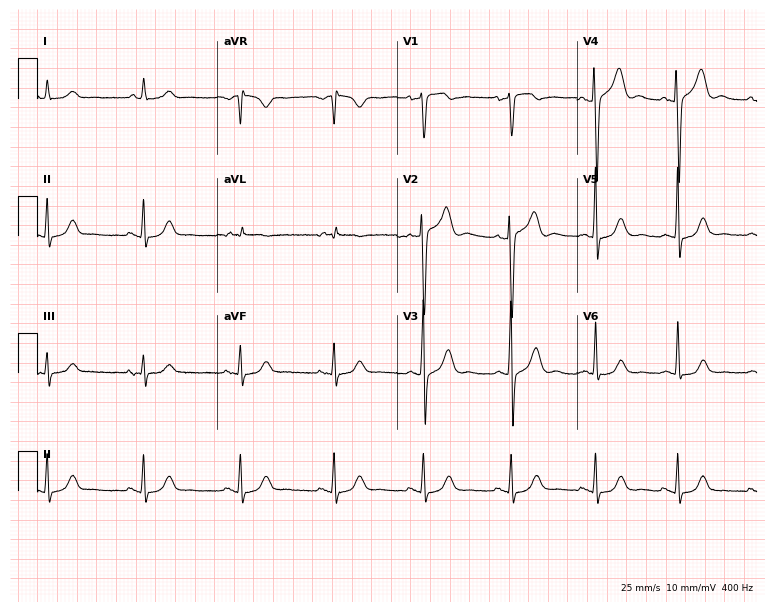
Resting 12-lead electrocardiogram (7.3-second recording at 400 Hz). Patient: a male, 51 years old. Read as a normal ECG.